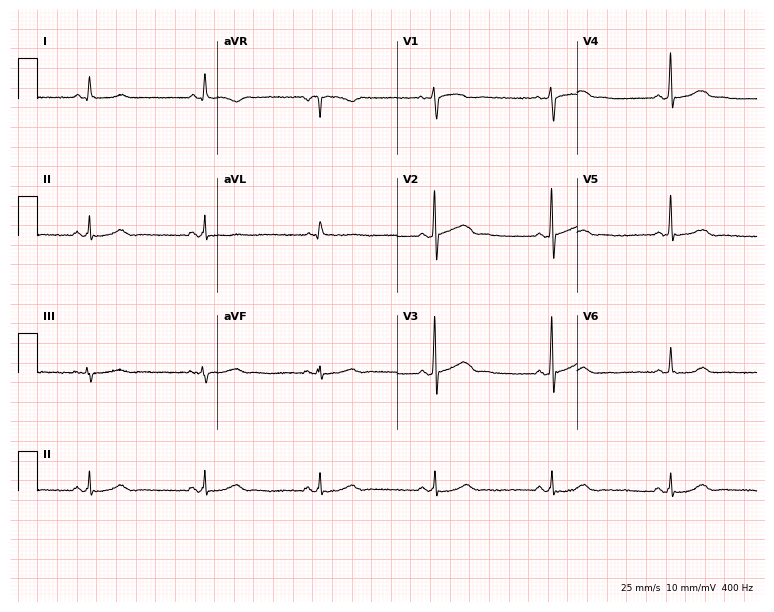
Resting 12-lead electrocardiogram (7.3-second recording at 400 Hz). Patient: a man, 75 years old. Read as a normal ECG.